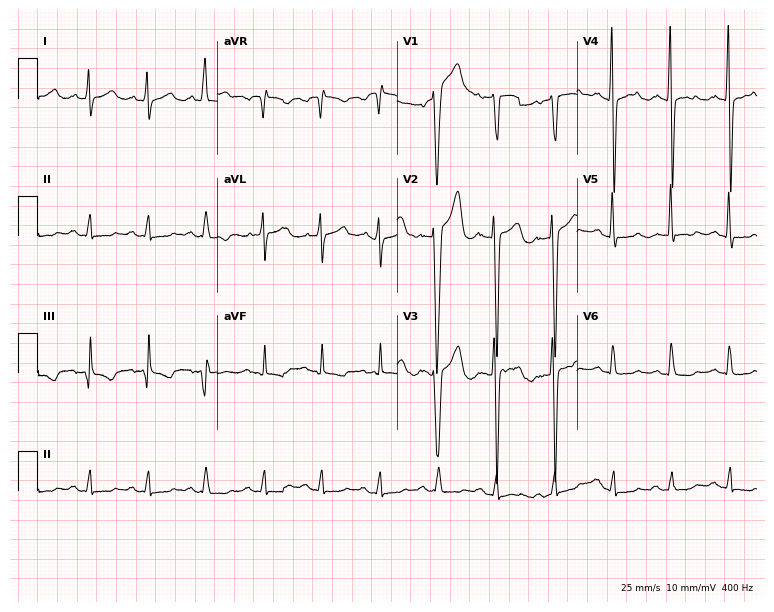
12-lead ECG (7.3-second recording at 400 Hz) from a male, 35 years old. Screened for six findings — first-degree AV block, right bundle branch block, left bundle branch block, sinus bradycardia, atrial fibrillation, sinus tachycardia — none is recorded.